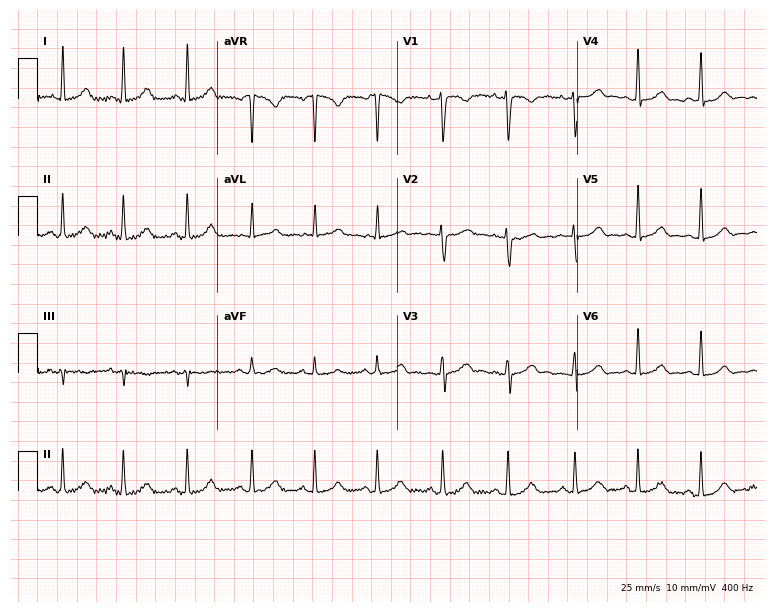
Standard 12-lead ECG recorded from a female, 30 years old. Read as a normal ECG.